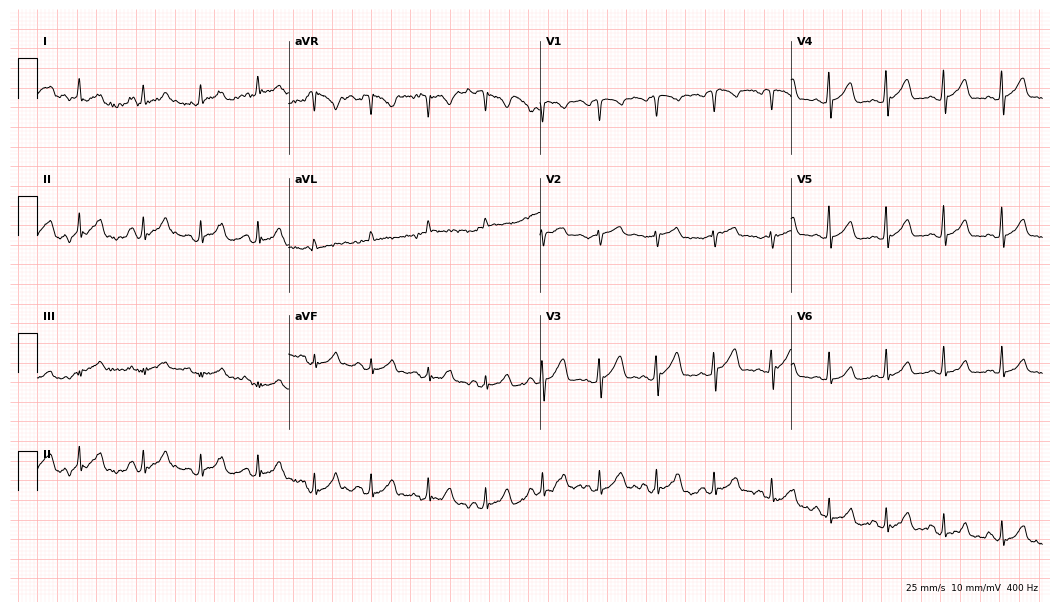
12-lead ECG from a 65-year-old male. Shows sinus tachycardia (a sinus rate of 100 beats per minute or more).